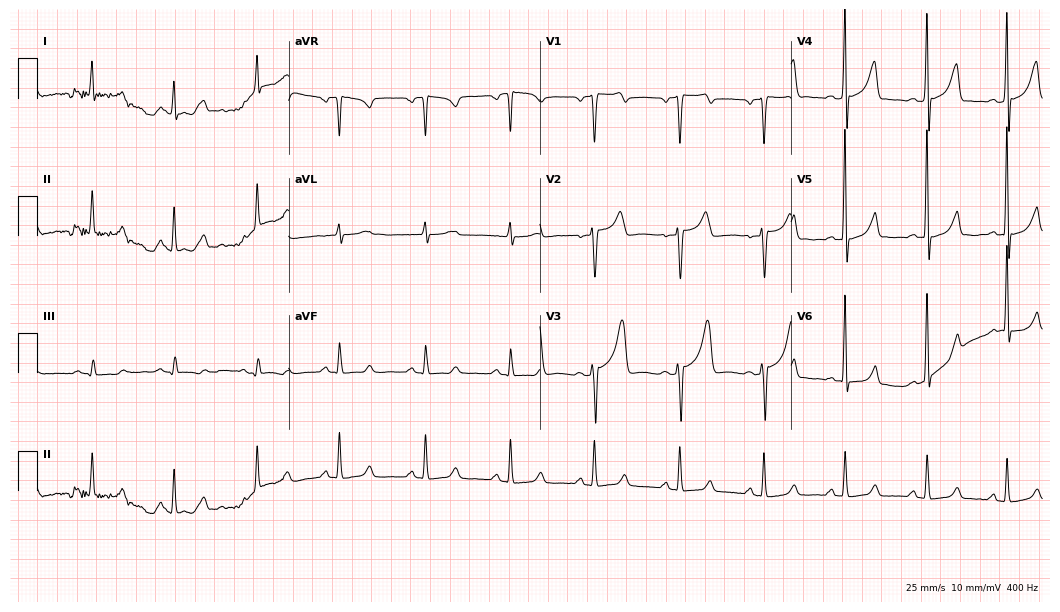
Standard 12-lead ECG recorded from a male, 48 years old (10.2-second recording at 400 Hz). None of these six findings is recorded: first-degree AV block, right bundle branch block, left bundle branch block, sinus bradycardia, atrial fibrillation, sinus tachycardia. Other findings, if any, are not listed.